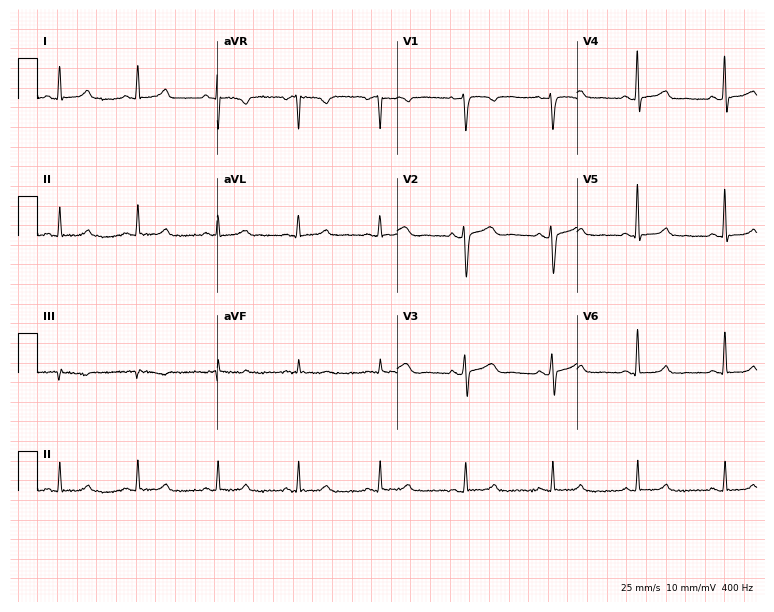
12-lead ECG from a male patient, 40 years old. No first-degree AV block, right bundle branch block, left bundle branch block, sinus bradycardia, atrial fibrillation or sinus tachycardia recorded for this tracing.